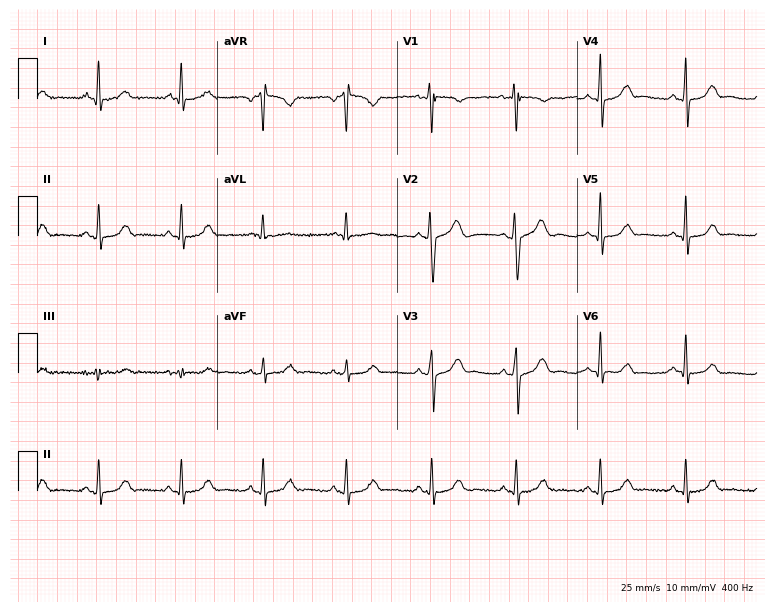
Standard 12-lead ECG recorded from a 32-year-old woman. None of these six findings is recorded: first-degree AV block, right bundle branch block (RBBB), left bundle branch block (LBBB), sinus bradycardia, atrial fibrillation (AF), sinus tachycardia.